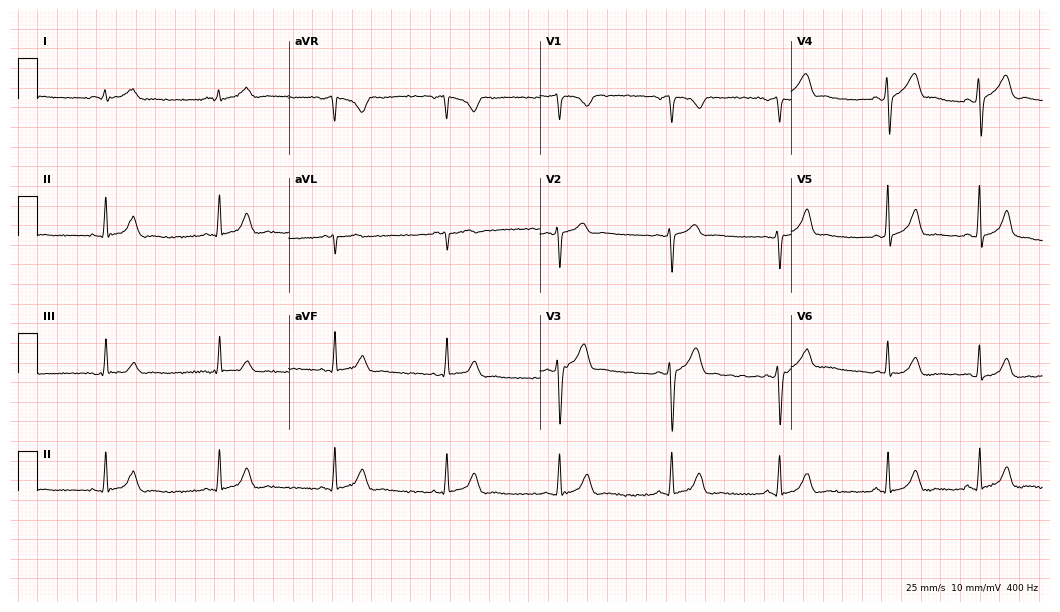
ECG (10.2-second recording at 400 Hz) — a 39-year-old male patient. Labelled as a normal ECG.